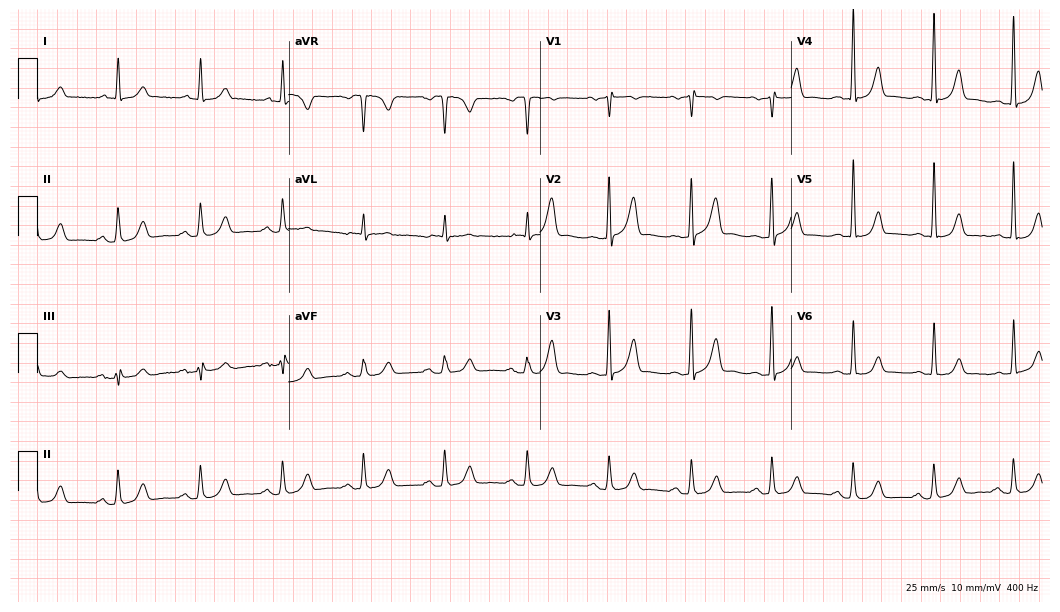
12-lead ECG from a 66-year-old man. Recorded interpretation: within normal limits.